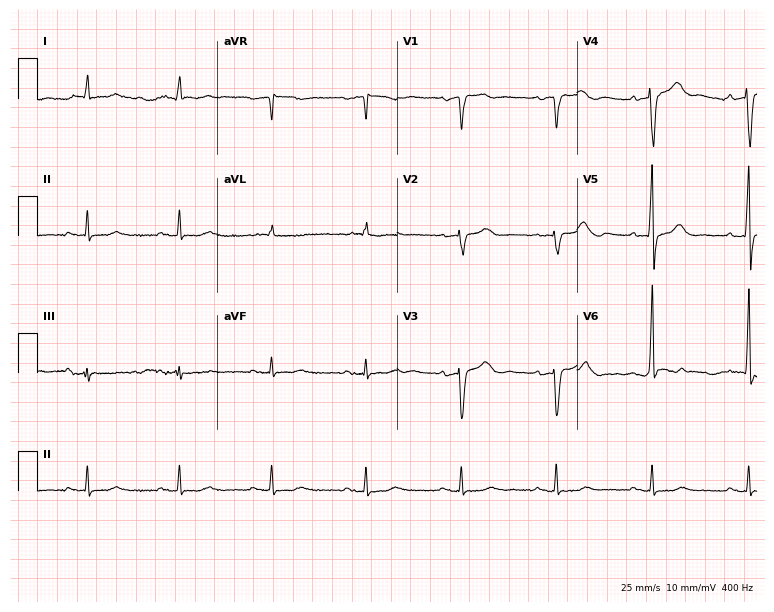
12-lead ECG from an 85-year-old man. Labelled as a normal ECG.